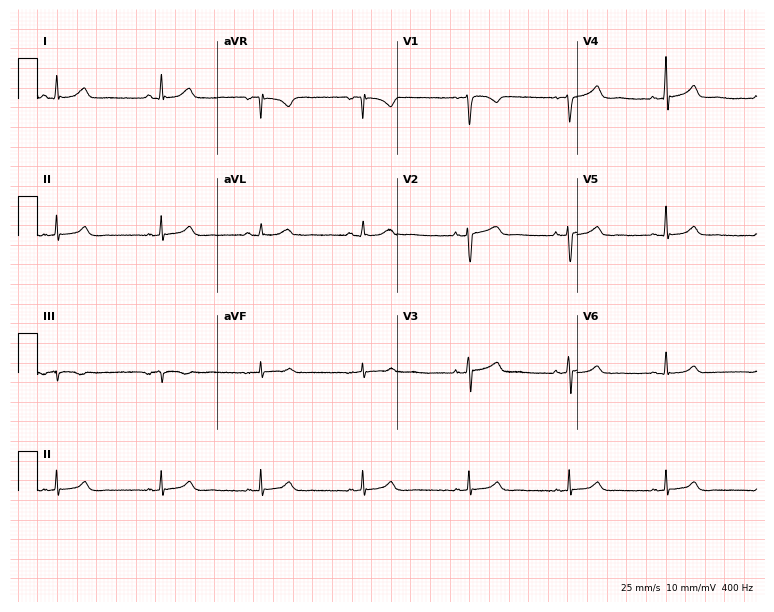
12-lead ECG (7.3-second recording at 400 Hz) from a 47-year-old female. Screened for six findings — first-degree AV block, right bundle branch block, left bundle branch block, sinus bradycardia, atrial fibrillation, sinus tachycardia — none is recorded. Only these six findings were labelled.